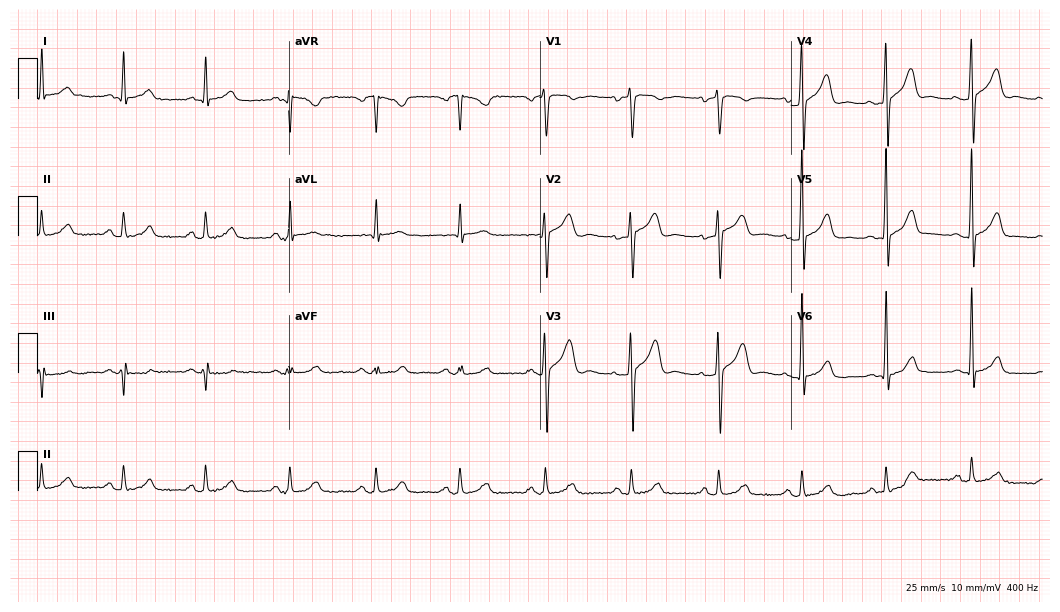
12-lead ECG from a 43-year-old male. No first-degree AV block, right bundle branch block, left bundle branch block, sinus bradycardia, atrial fibrillation or sinus tachycardia recorded for this tracing.